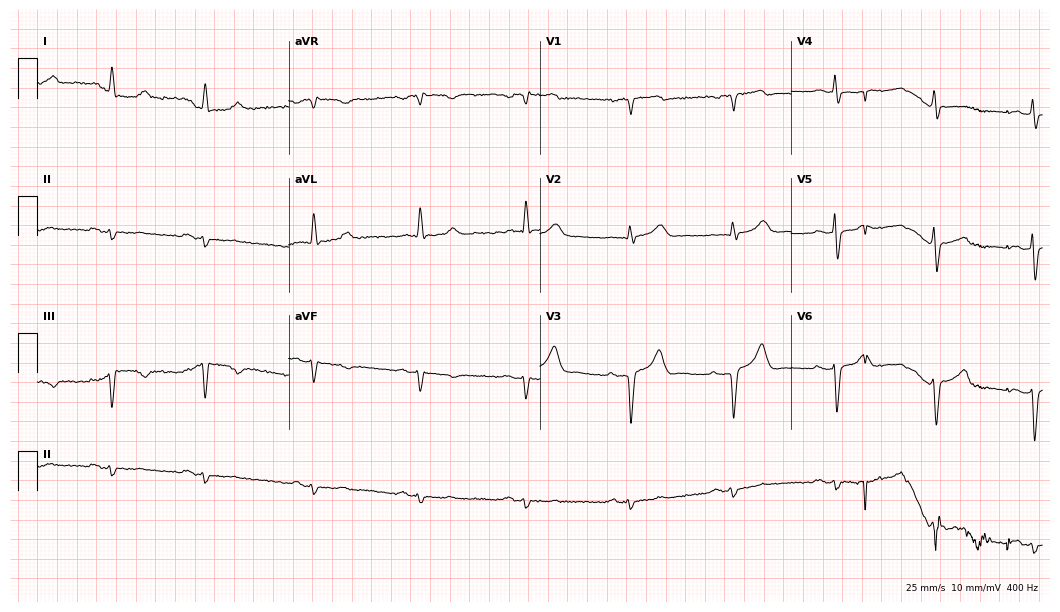
12-lead ECG (10.2-second recording at 400 Hz) from a 75-year-old male patient. Screened for six findings — first-degree AV block, right bundle branch block, left bundle branch block, sinus bradycardia, atrial fibrillation, sinus tachycardia — none is recorded. Only these six findings were labelled.